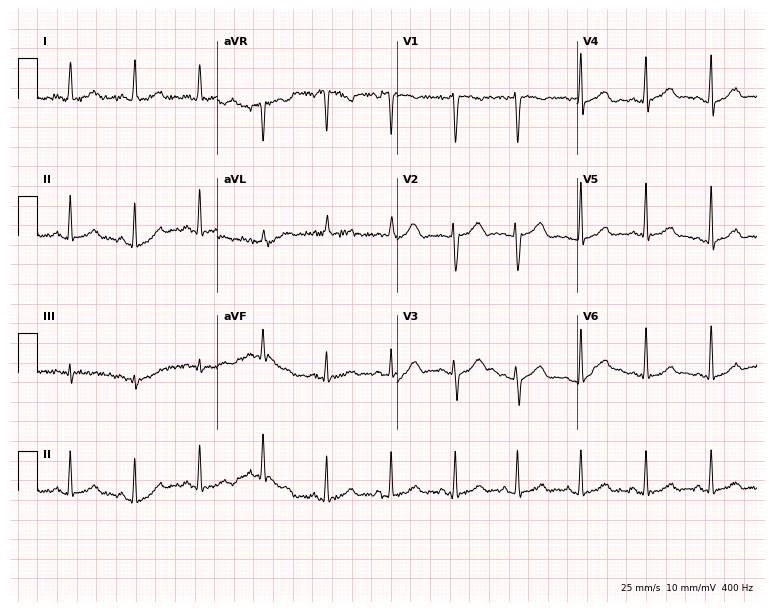
12-lead ECG from a female, 38 years old (7.3-second recording at 400 Hz). No first-degree AV block, right bundle branch block (RBBB), left bundle branch block (LBBB), sinus bradycardia, atrial fibrillation (AF) or sinus tachycardia recorded for this tracing.